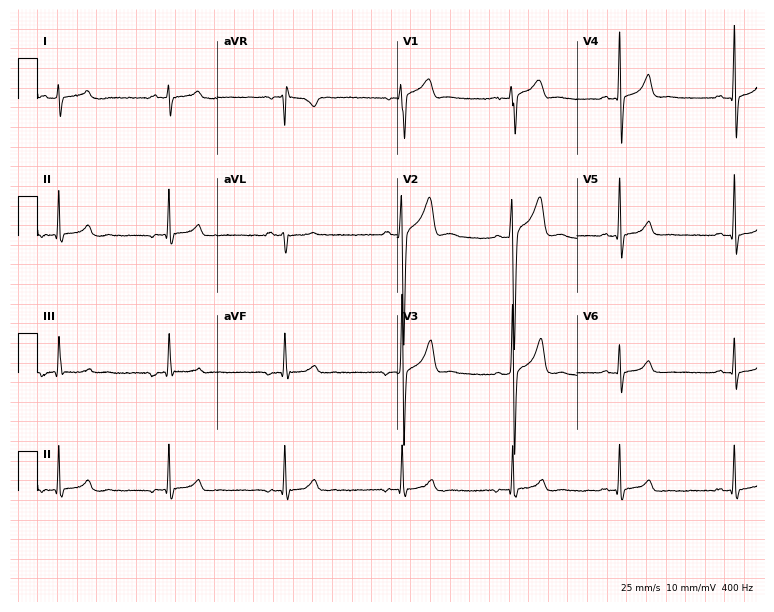
ECG (7.3-second recording at 400 Hz) — a male, 29 years old. Screened for six findings — first-degree AV block, right bundle branch block, left bundle branch block, sinus bradycardia, atrial fibrillation, sinus tachycardia — none is recorded. Other findings, if any, are not listed.